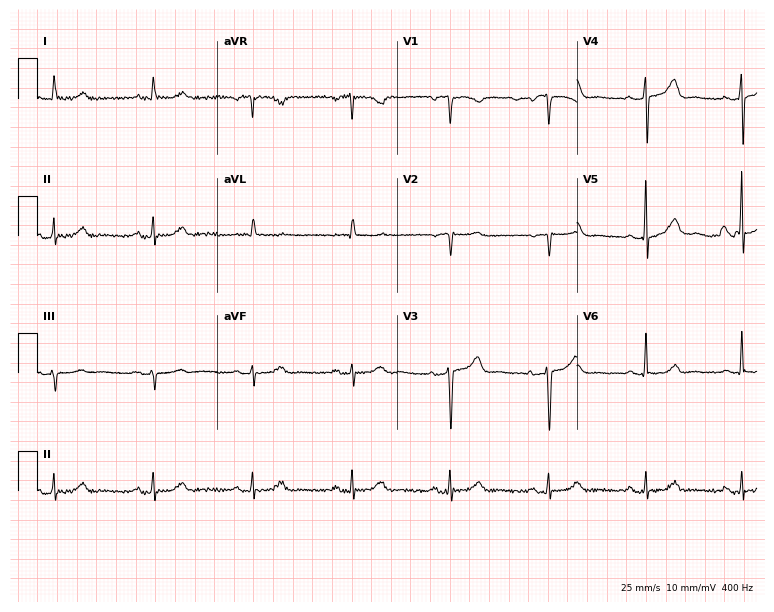
Electrocardiogram (7.3-second recording at 400 Hz), an 82-year-old female patient. Overall reading on record: normal ECG.